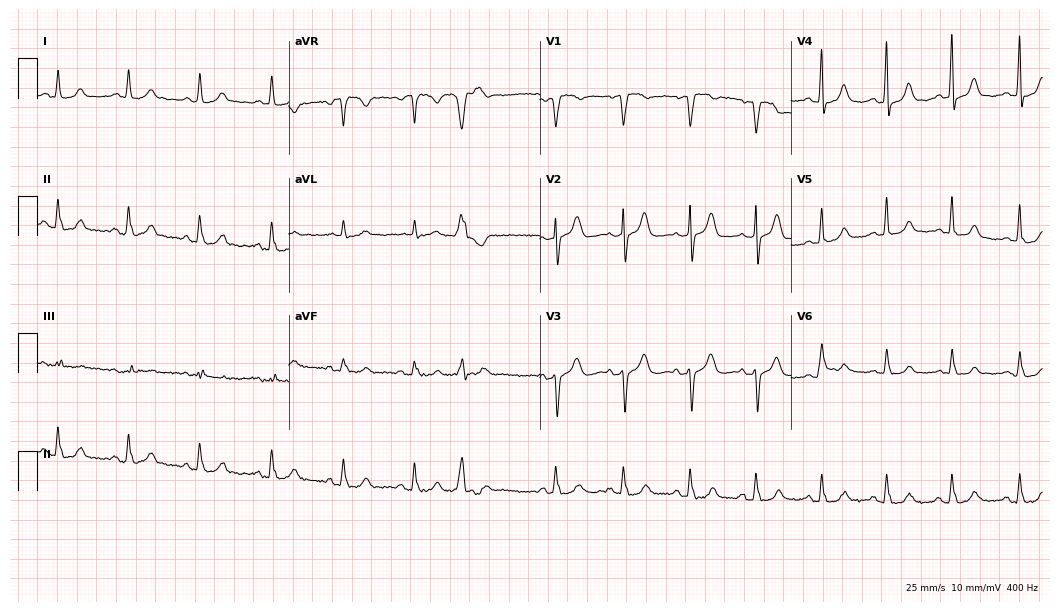
ECG (10.2-second recording at 400 Hz) — an 82-year-old female. Screened for six findings — first-degree AV block, right bundle branch block (RBBB), left bundle branch block (LBBB), sinus bradycardia, atrial fibrillation (AF), sinus tachycardia — none is recorded. Only these six findings were labelled.